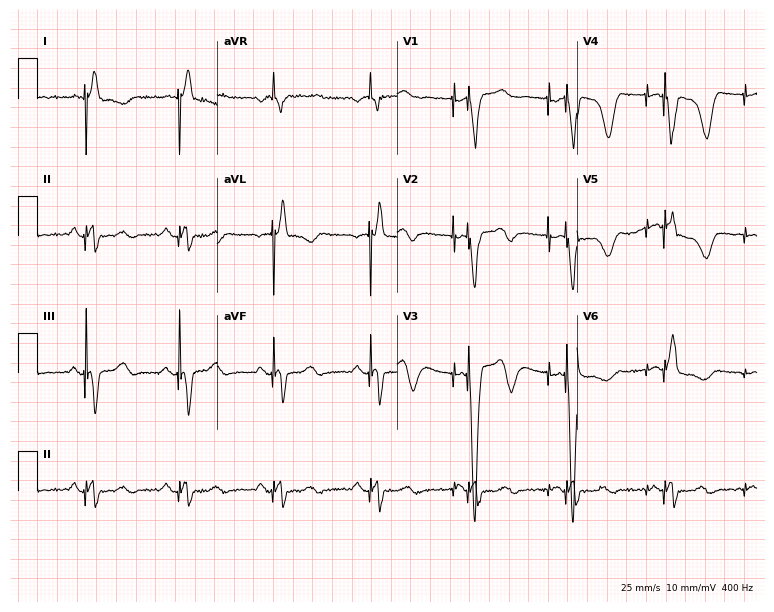
12-lead ECG from a female, 85 years old. Screened for six findings — first-degree AV block, right bundle branch block, left bundle branch block, sinus bradycardia, atrial fibrillation, sinus tachycardia — none is recorded.